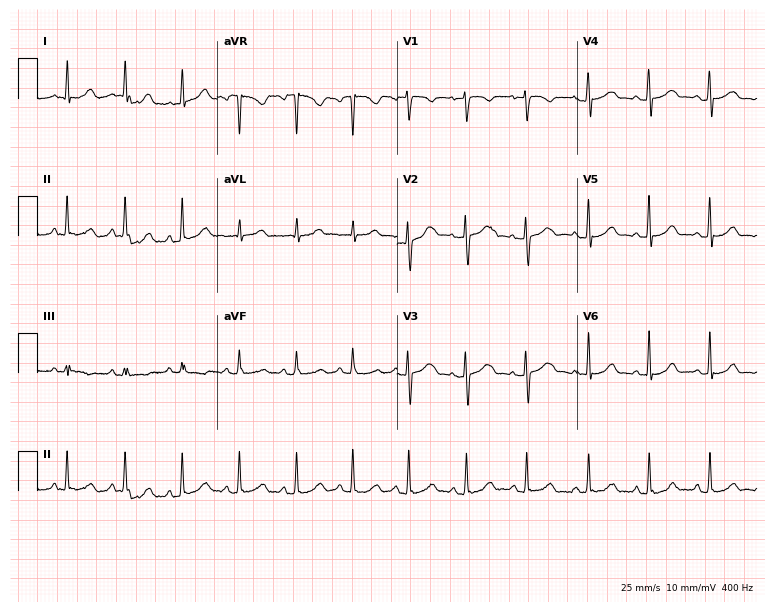
12-lead ECG (7.3-second recording at 400 Hz) from a woman, 19 years old. Findings include sinus tachycardia (a sinus rate of 100 beats per minute or more).